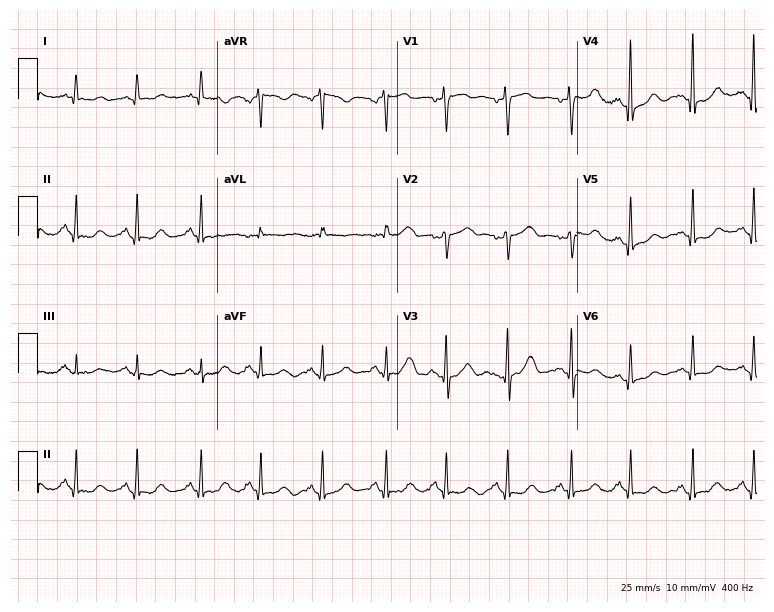
12-lead ECG from a 53-year-old female patient (7.3-second recording at 400 Hz). Recorded interpretation: within normal limits.